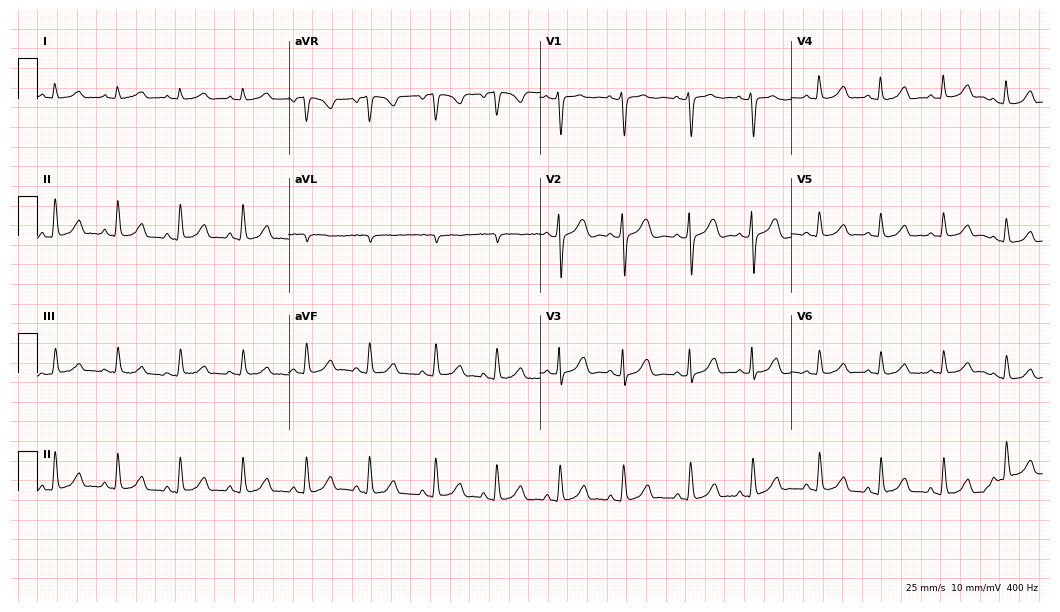
Standard 12-lead ECG recorded from a 37-year-old female (10.2-second recording at 400 Hz). None of these six findings is recorded: first-degree AV block, right bundle branch block, left bundle branch block, sinus bradycardia, atrial fibrillation, sinus tachycardia. Findings outside these six are not listed.